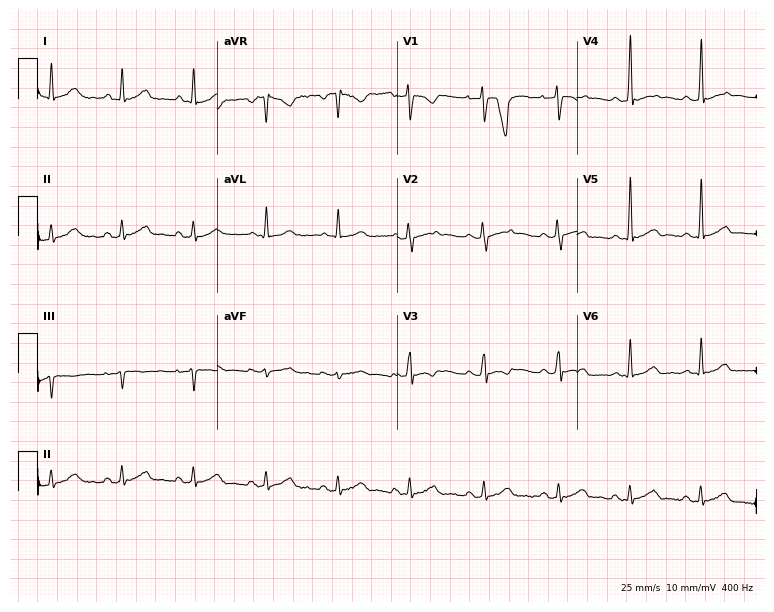
Resting 12-lead electrocardiogram (7.3-second recording at 400 Hz). Patient: a female, 30 years old. None of these six findings is recorded: first-degree AV block, right bundle branch block, left bundle branch block, sinus bradycardia, atrial fibrillation, sinus tachycardia.